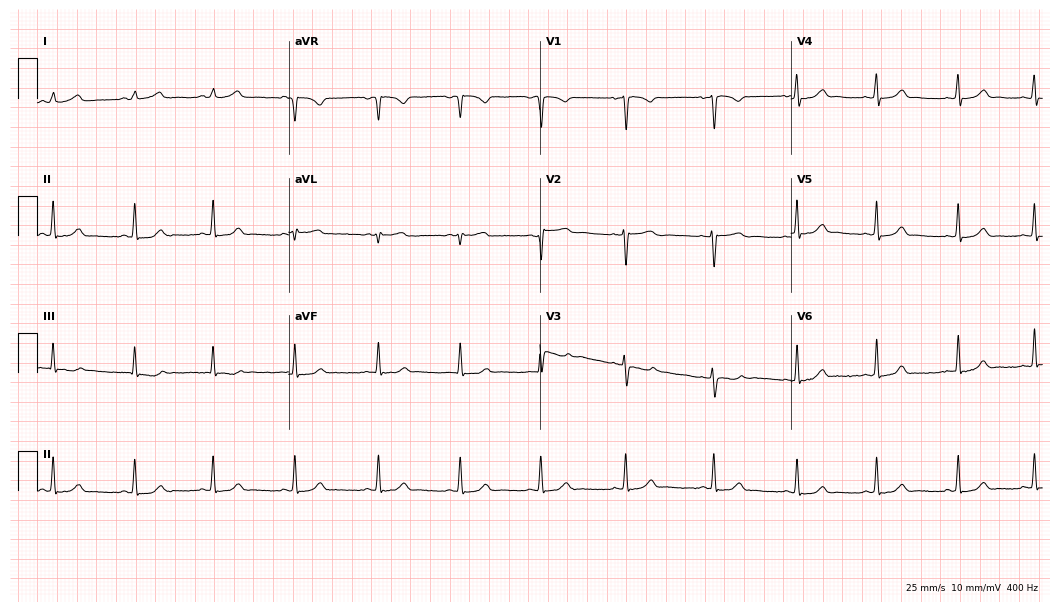
Electrocardiogram (10.2-second recording at 400 Hz), a female, 23 years old. Overall reading on record: normal ECG.